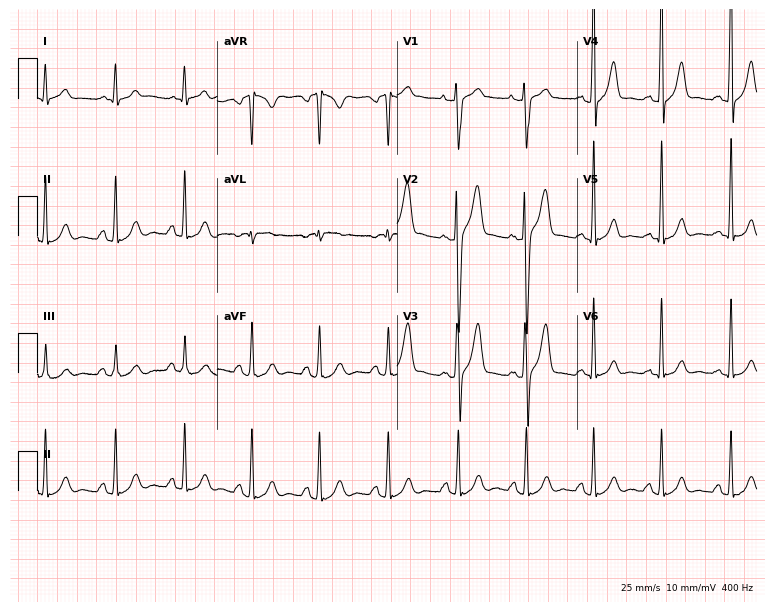
Electrocardiogram (7.3-second recording at 400 Hz), a 24-year-old male. Overall reading on record: normal ECG.